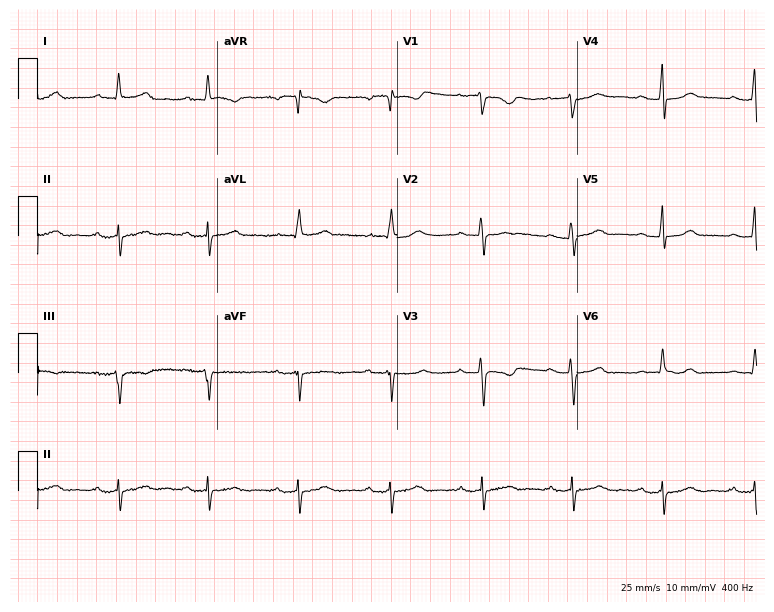
12-lead ECG from an 84-year-old female. Findings include first-degree AV block.